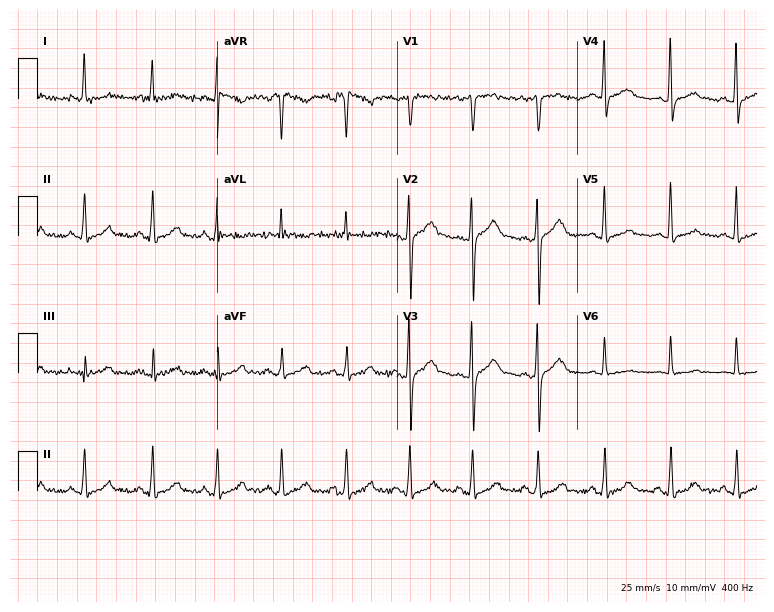
Resting 12-lead electrocardiogram (7.3-second recording at 400 Hz). Patient: a 40-year-old male. Read as a normal ECG.